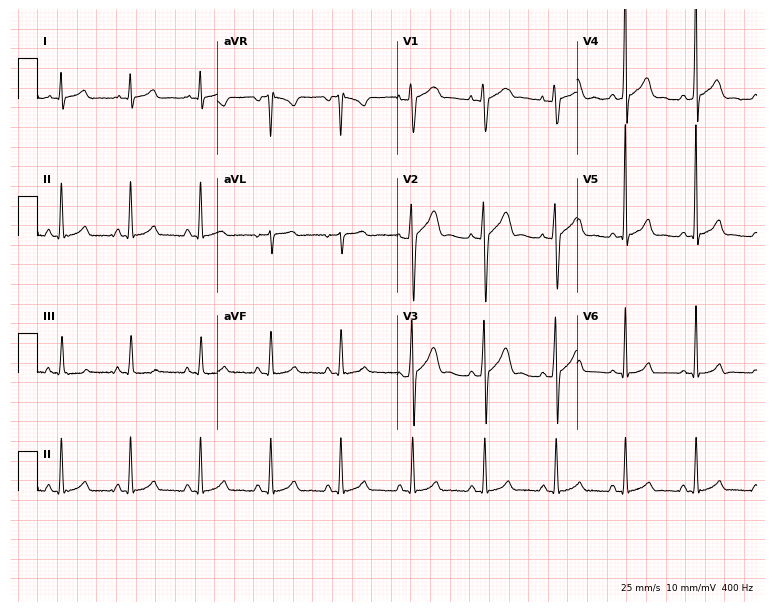
ECG (7.3-second recording at 400 Hz) — a 17-year-old male. Screened for six findings — first-degree AV block, right bundle branch block (RBBB), left bundle branch block (LBBB), sinus bradycardia, atrial fibrillation (AF), sinus tachycardia — none is recorded.